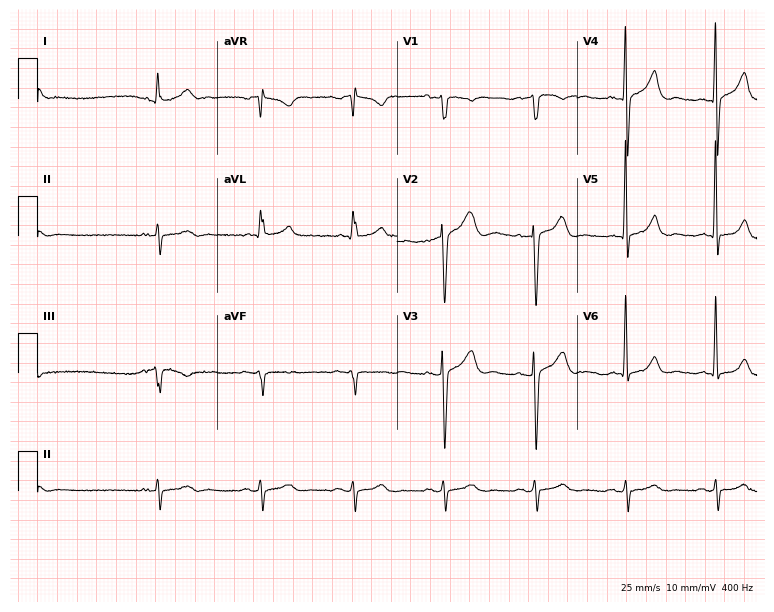
ECG (7.3-second recording at 400 Hz) — an 83-year-old male patient. Labelled as a normal ECG.